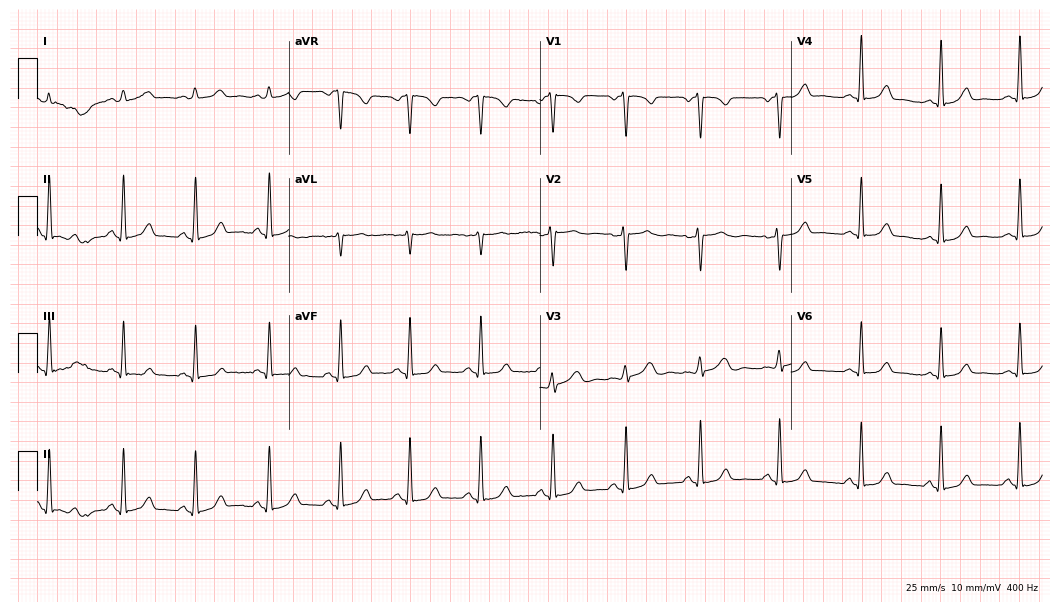
Electrocardiogram (10.2-second recording at 400 Hz), a 33-year-old female. Overall reading on record: normal ECG.